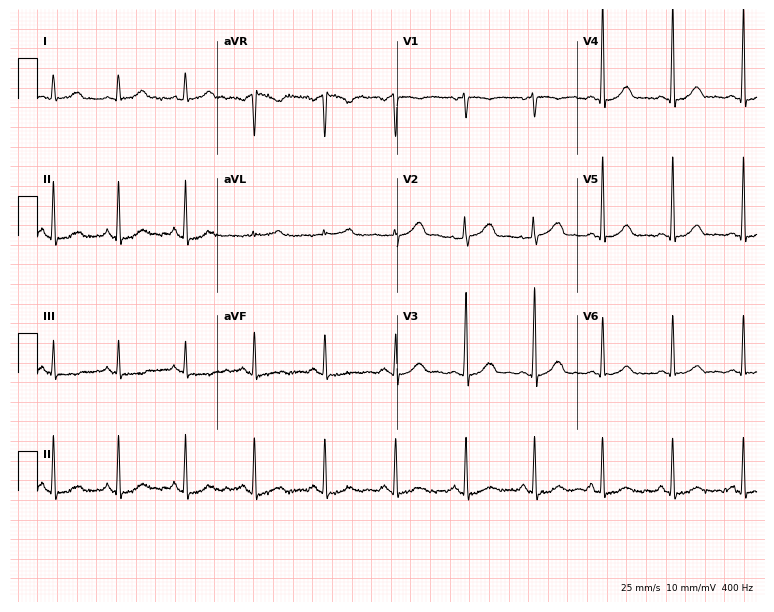
ECG (7.3-second recording at 400 Hz) — a woman, 39 years old. Labelled as a normal ECG.